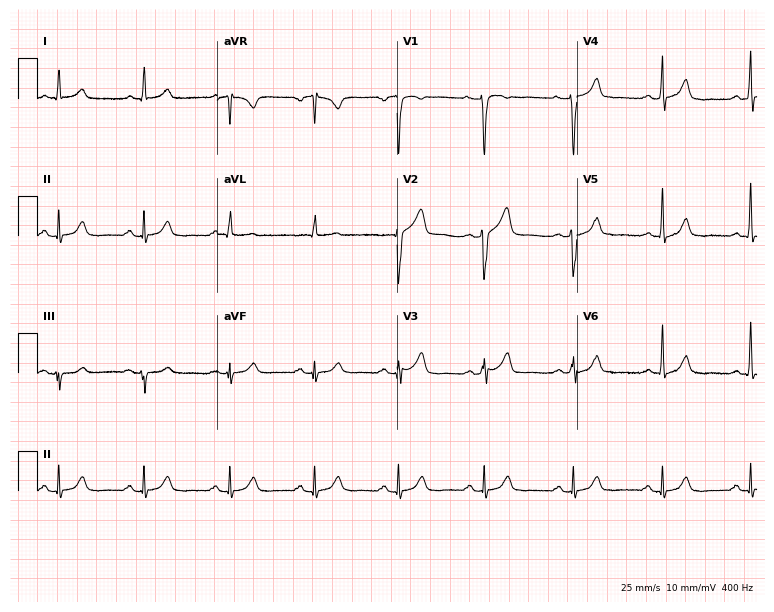
Standard 12-lead ECG recorded from a man, 66 years old (7.3-second recording at 400 Hz). None of these six findings is recorded: first-degree AV block, right bundle branch block (RBBB), left bundle branch block (LBBB), sinus bradycardia, atrial fibrillation (AF), sinus tachycardia.